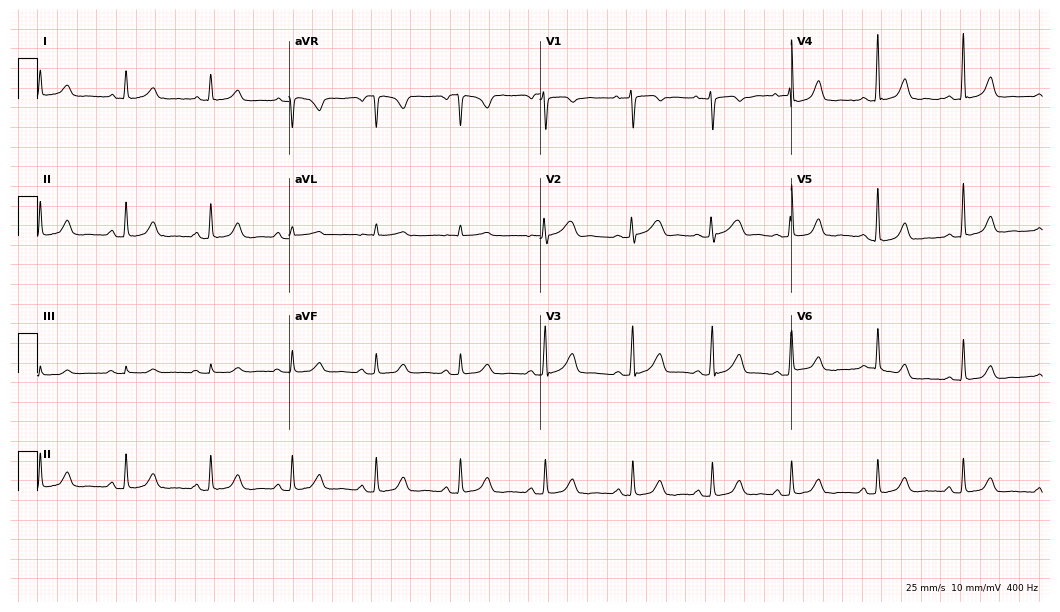
Standard 12-lead ECG recorded from a 20-year-old female. Read as a normal ECG.